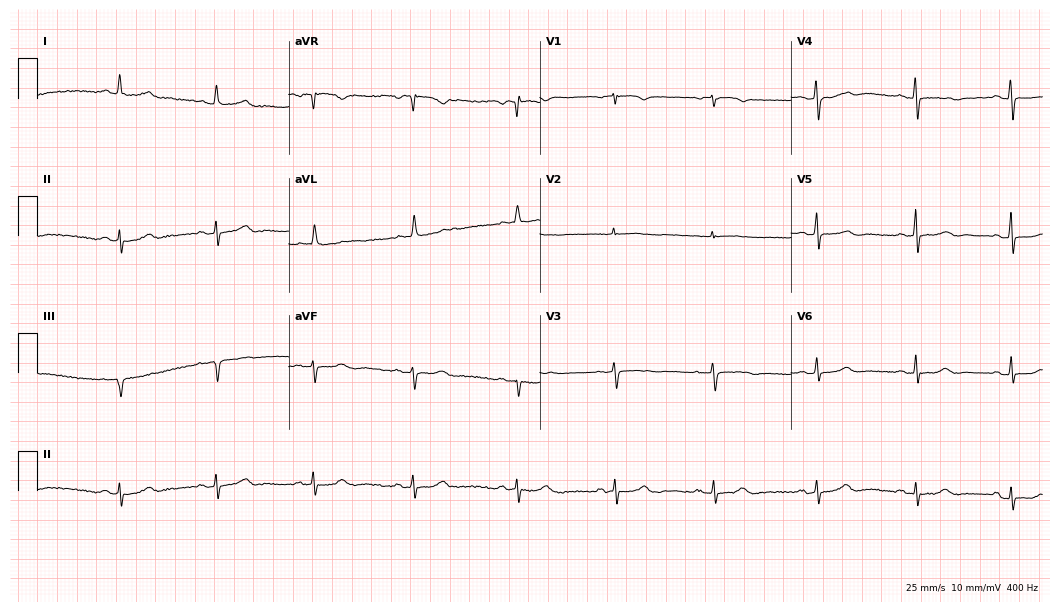
Electrocardiogram, a female patient, 73 years old. Of the six screened findings (first-degree AV block, right bundle branch block, left bundle branch block, sinus bradycardia, atrial fibrillation, sinus tachycardia), none is recorded. Only these six findings were labelled.